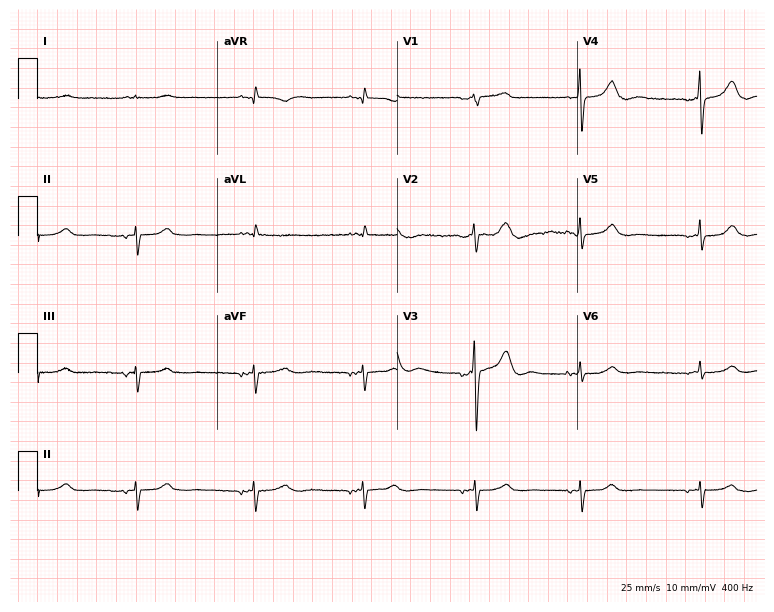
Standard 12-lead ECG recorded from a man, 78 years old. None of these six findings is recorded: first-degree AV block, right bundle branch block, left bundle branch block, sinus bradycardia, atrial fibrillation, sinus tachycardia. Only these six findings were labelled.